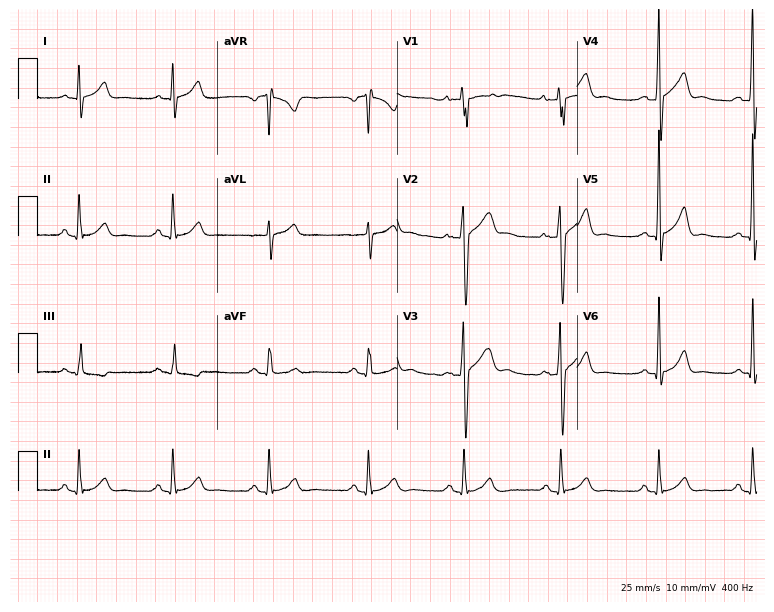
Electrocardiogram, a male patient, 27 years old. Overall reading on record: normal ECG.